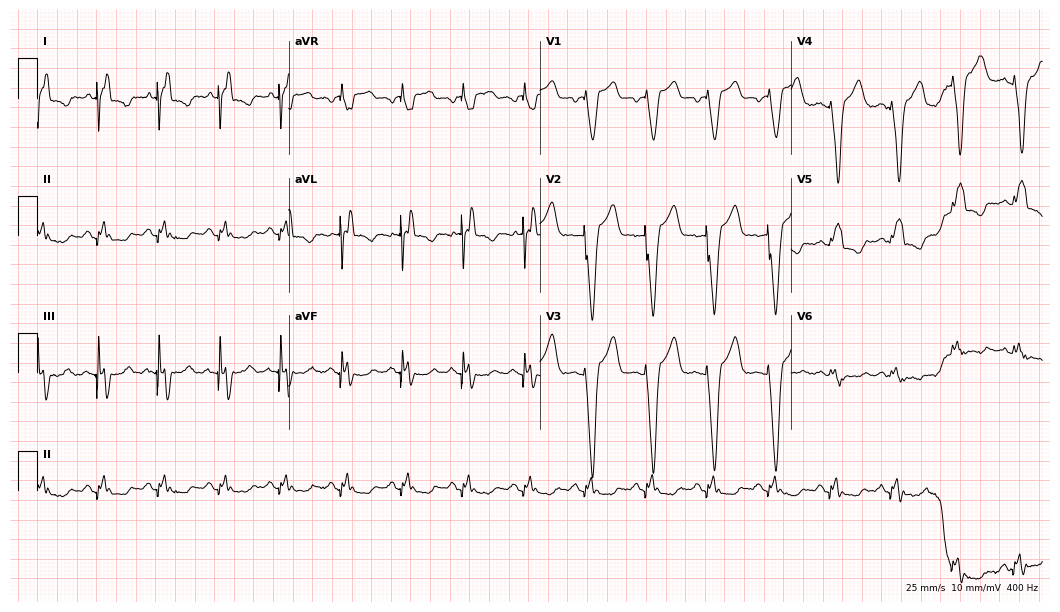
Standard 12-lead ECG recorded from a male patient, 49 years old. None of these six findings is recorded: first-degree AV block, right bundle branch block (RBBB), left bundle branch block (LBBB), sinus bradycardia, atrial fibrillation (AF), sinus tachycardia. Other findings, if any, are not listed.